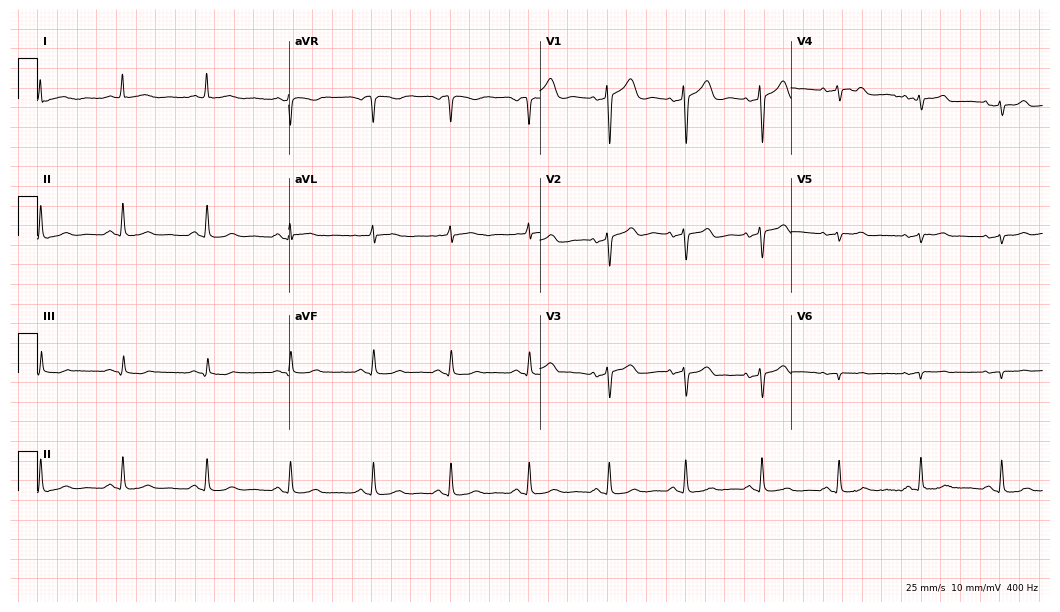
12-lead ECG from a 71-year-old female. Screened for six findings — first-degree AV block, right bundle branch block, left bundle branch block, sinus bradycardia, atrial fibrillation, sinus tachycardia — none is recorded. Other findings, if any, are not listed.